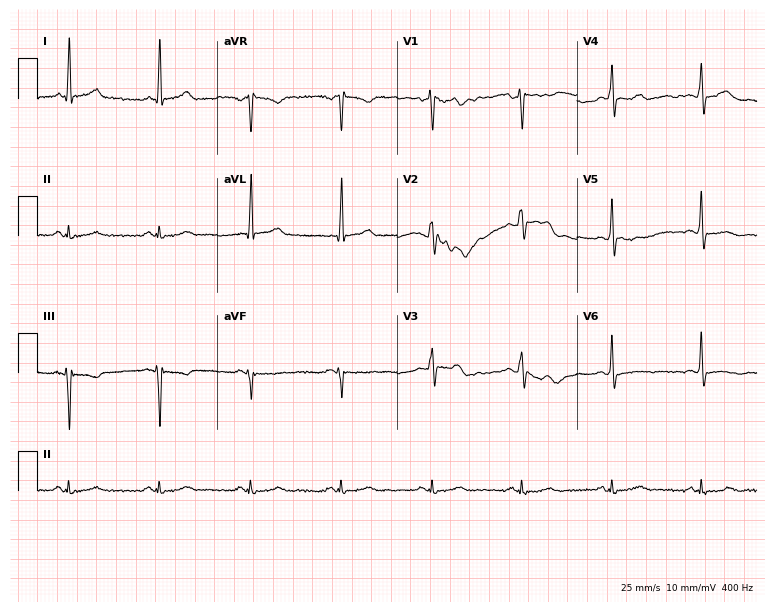
12-lead ECG from a male, 61 years old (7.3-second recording at 400 Hz). Recorded interpretation: within normal limits.